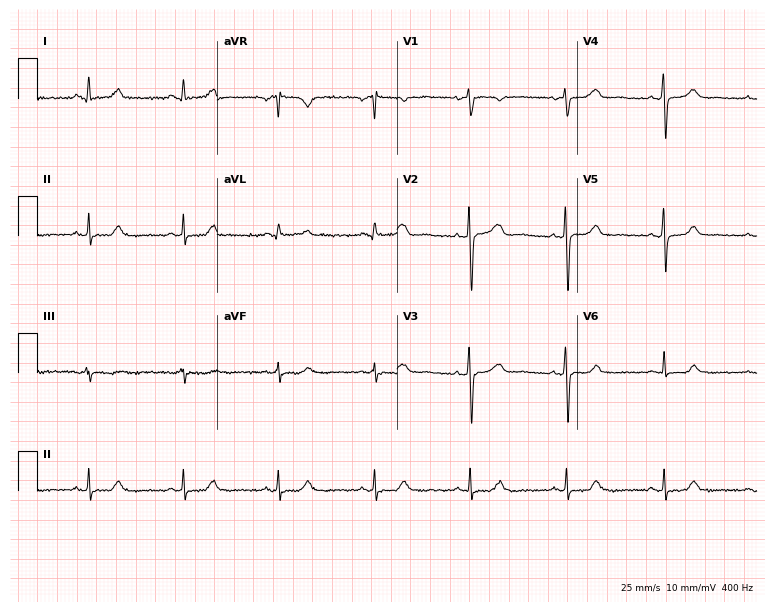
12-lead ECG from a 39-year-old female patient (7.3-second recording at 400 Hz). No first-degree AV block, right bundle branch block, left bundle branch block, sinus bradycardia, atrial fibrillation or sinus tachycardia recorded for this tracing.